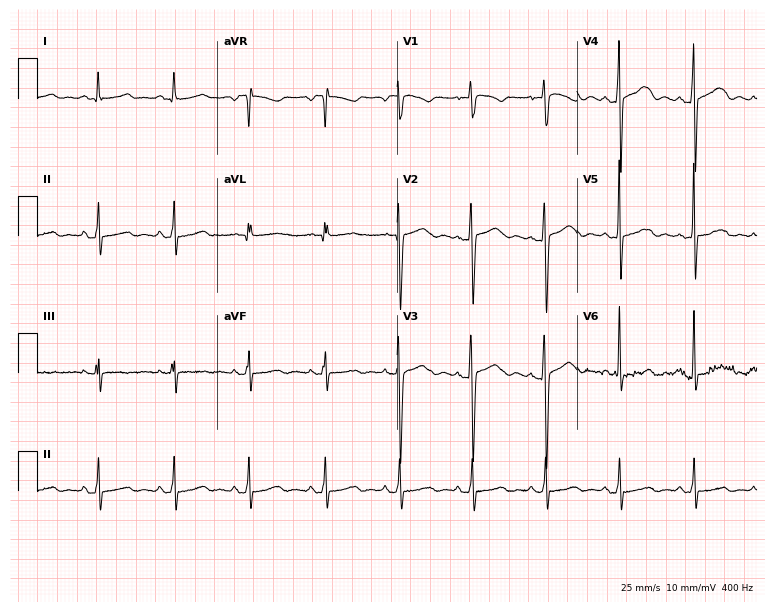
Standard 12-lead ECG recorded from a female, 61 years old (7.3-second recording at 400 Hz). None of these six findings is recorded: first-degree AV block, right bundle branch block, left bundle branch block, sinus bradycardia, atrial fibrillation, sinus tachycardia. Only these six findings were labelled.